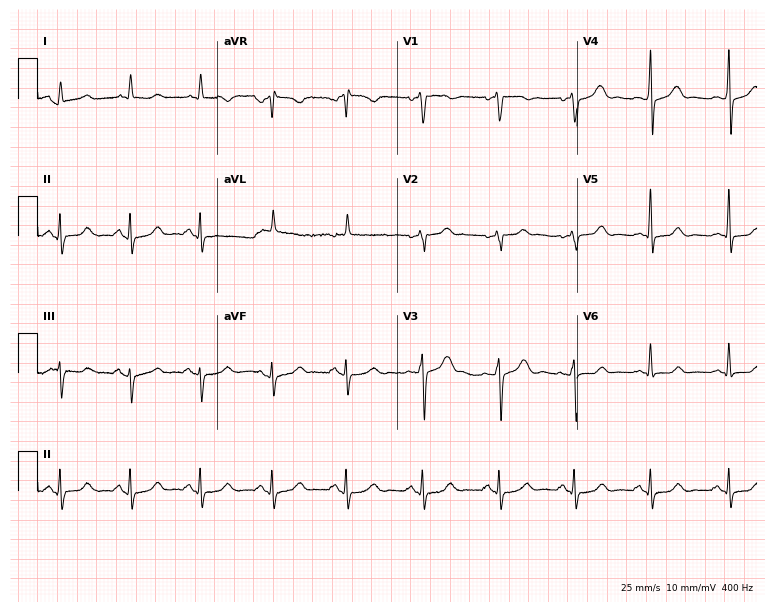
Resting 12-lead electrocardiogram (7.3-second recording at 400 Hz). Patient: a man, 50 years old. None of these six findings is recorded: first-degree AV block, right bundle branch block (RBBB), left bundle branch block (LBBB), sinus bradycardia, atrial fibrillation (AF), sinus tachycardia. Other findings, if any, are not listed.